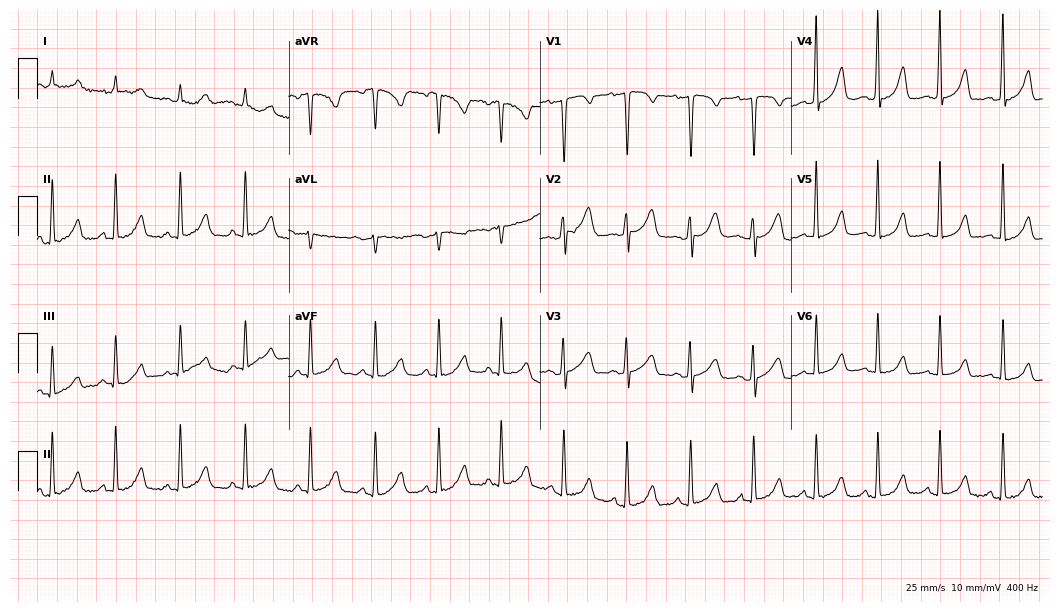
ECG (10.2-second recording at 400 Hz) — a female patient, 53 years old. Labelled as a normal ECG.